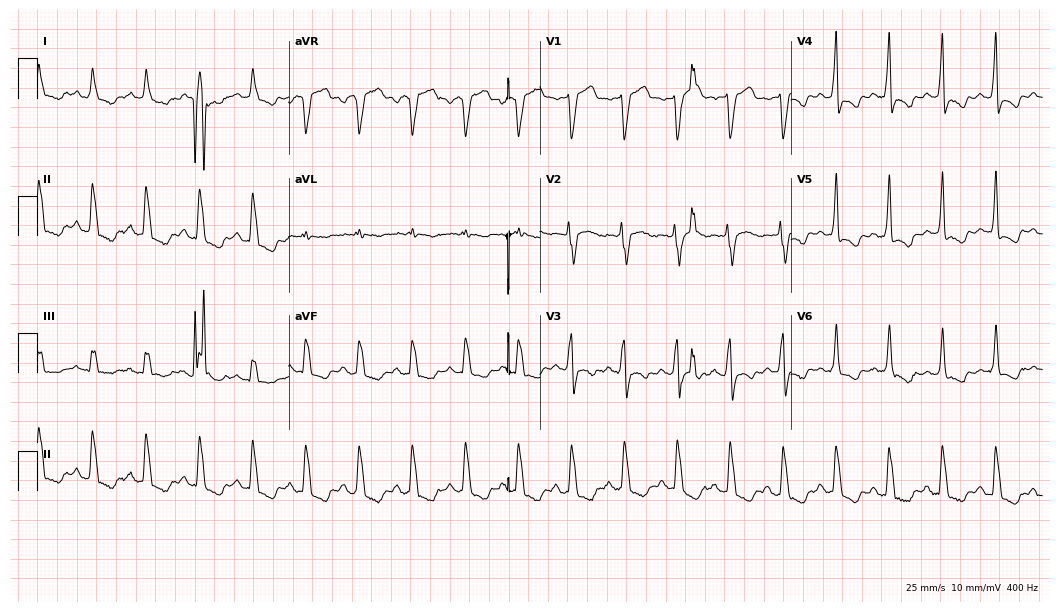
Electrocardiogram (10.2-second recording at 400 Hz), a 76-year-old male. Of the six screened findings (first-degree AV block, right bundle branch block, left bundle branch block, sinus bradycardia, atrial fibrillation, sinus tachycardia), none is recorded.